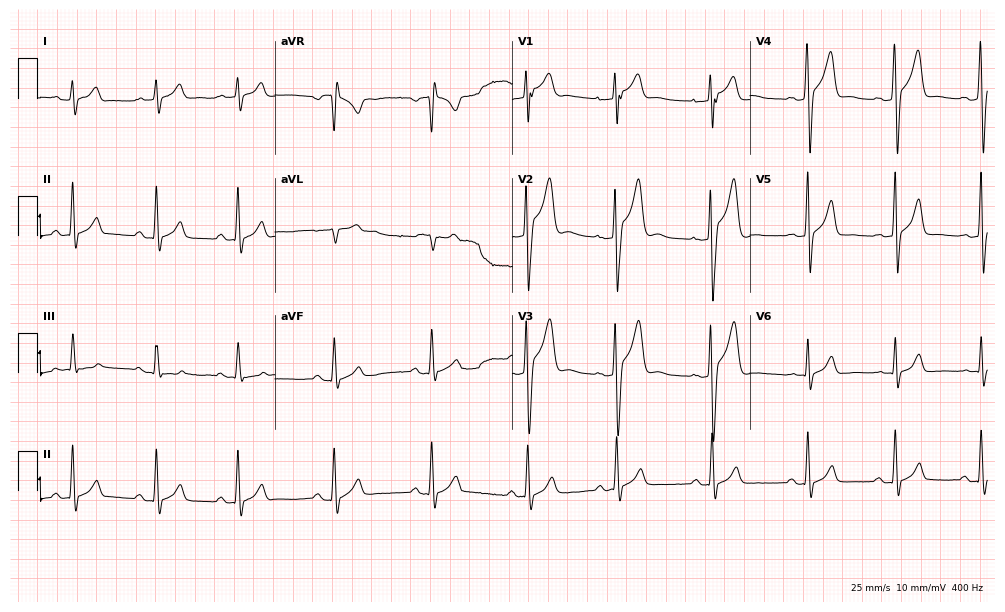
12-lead ECG from an 18-year-old male. Recorded interpretation: within normal limits.